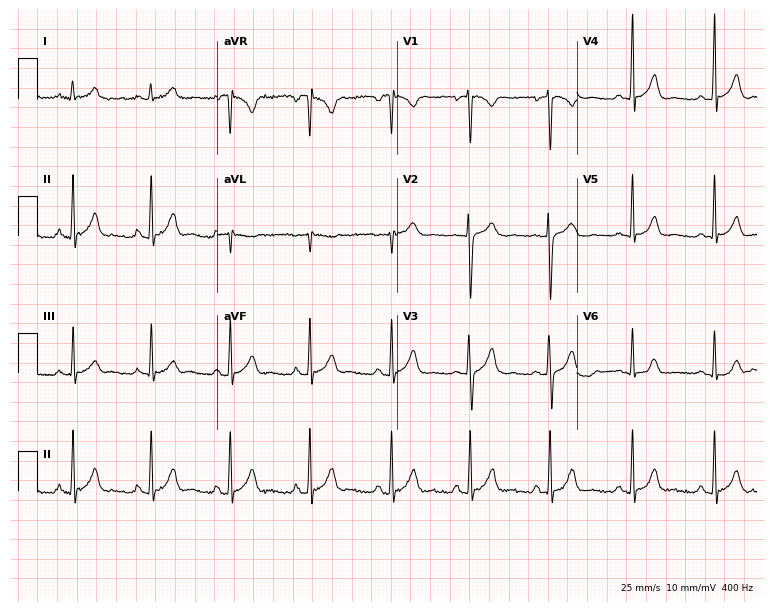
Electrocardiogram, a male patient, 21 years old. Overall reading on record: normal ECG.